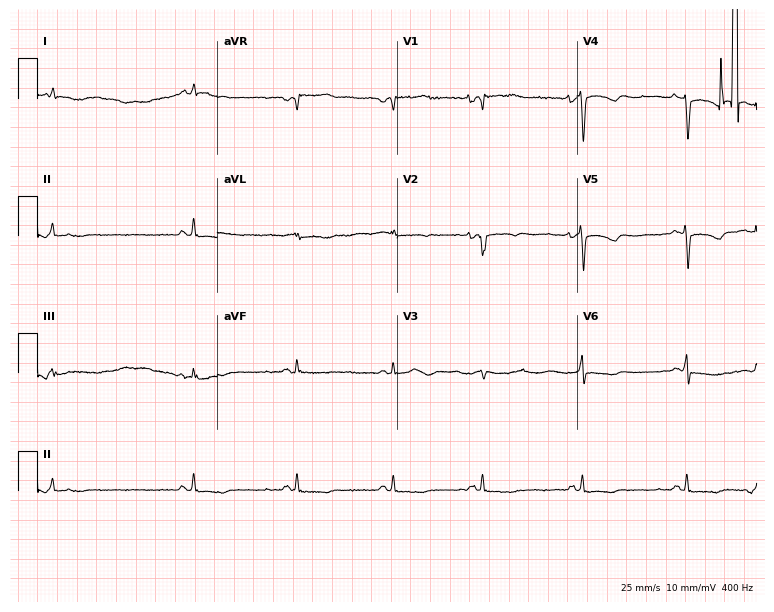
Resting 12-lead electrocardiogram. Patient: a female, 85 years old. Read as a normal ECG.